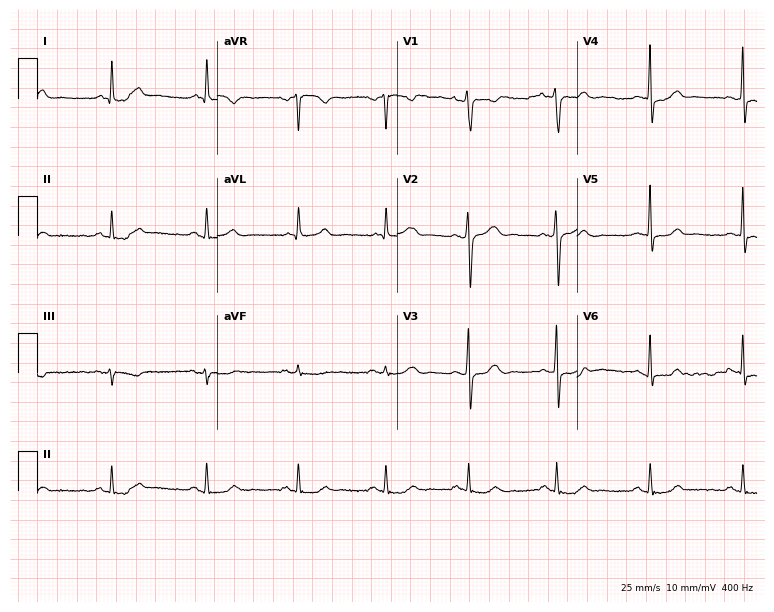
12-lead ECG (7.3-second recording at 400 Hz) from a 56-year-old male. Labelled as a normal ECG.